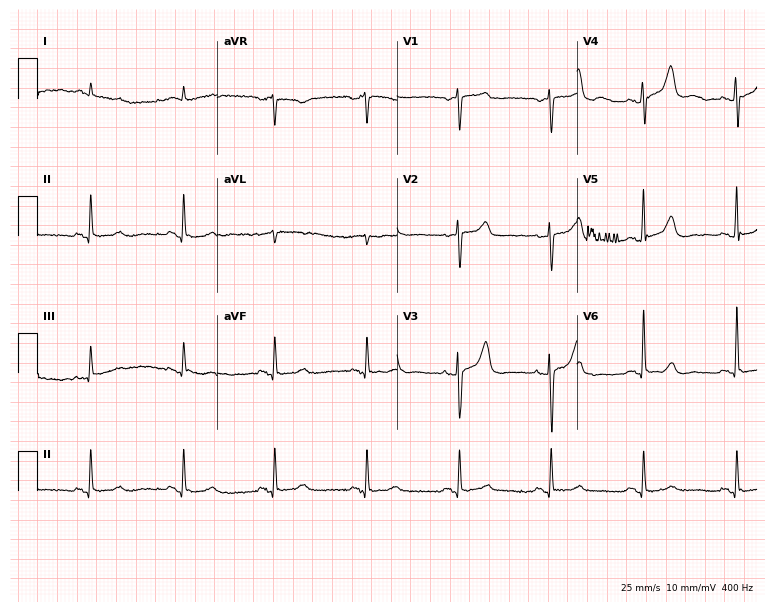
Resting 12-lead electrocardiogram. Patient: an 82-year-old man. None of these six findings is recorded: first-degree AV block, right bundle branch block, left bundle branch block, sinus bradycardia, atrial fibrillation, sinus tachycardia.